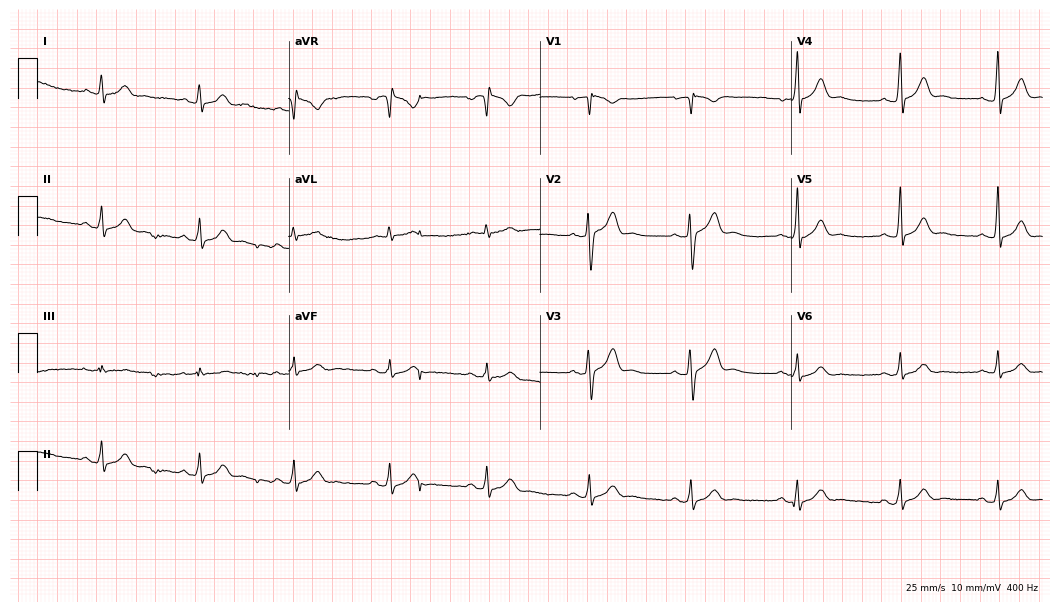
Standard 12-lead ECG recorded from a male patient, 38 years old. Read as a normal ECG.